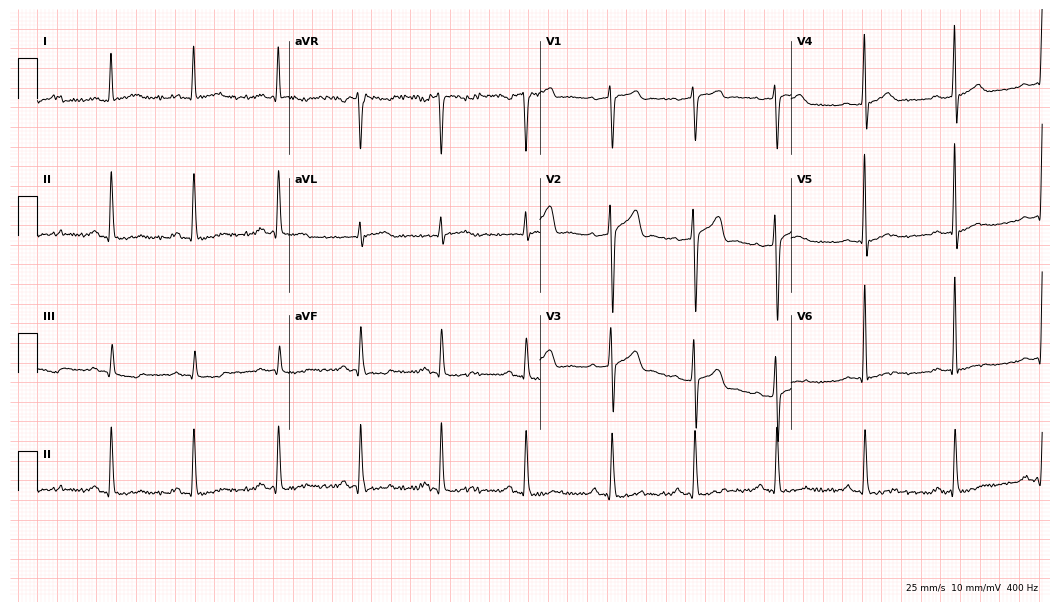
Electrocardiogram, a 29-year-old man. Of the six screened findings (first-degree AV block, right bundle branch block (RBBB), left bundle branch block (LBBB), sinus bradycardia, atrial fibrillation (AF), sinus tachycardia), none is recorded. Only these six findings were labelled.